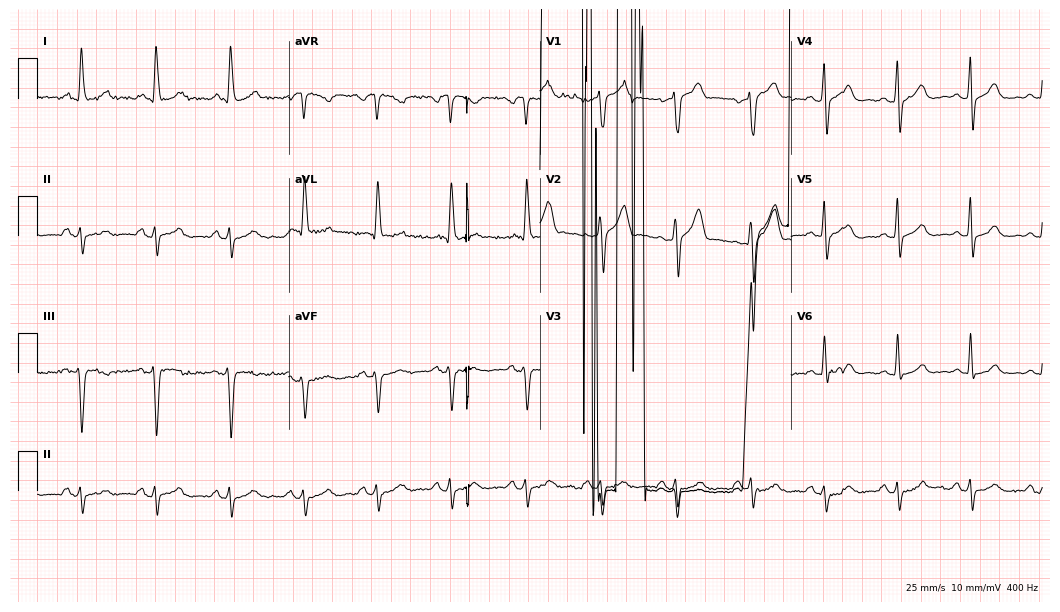
12-lead ECG from a 57-year-old male. Screened for six findings — first-degree AV block, right bundle branch block (RBBB), left bundle branch block (LBBB), sinus bradycardia, atrial fibrillation (AF), sinus tachycardia — none is recorded. Only these six findings were labelled.